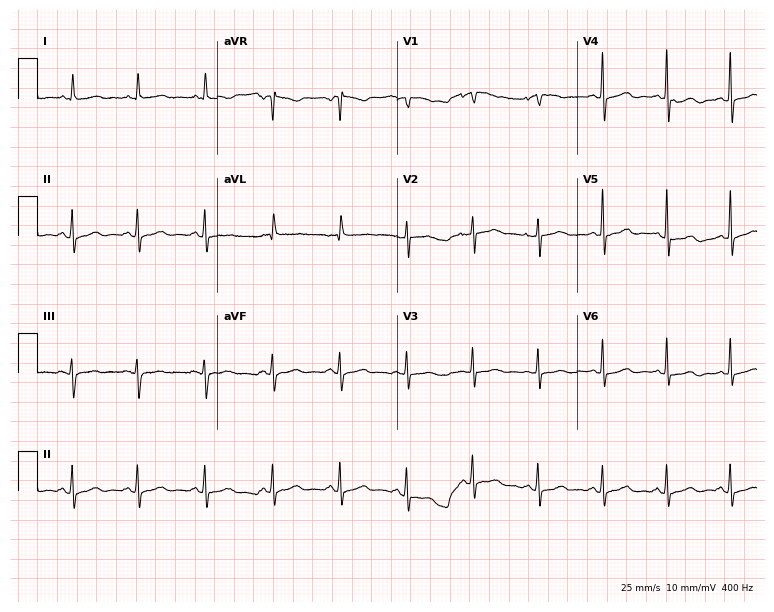
ECG (7.3-second recording at 400 Hz) — a female patient, 82 years old. Labelled as a normal ECG.